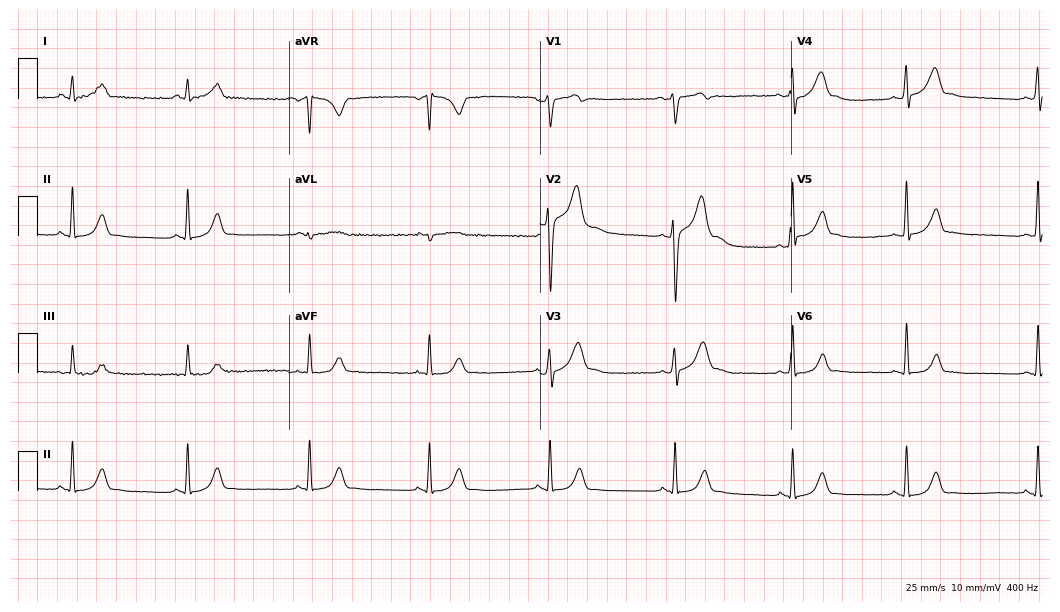
Standard 12-lead ECG recorded from a 20-year-old man (10.2-second recording at 400 Hz). The tracing shows sinus bradycardia (a sinus rate of 50 beats per minute or less).